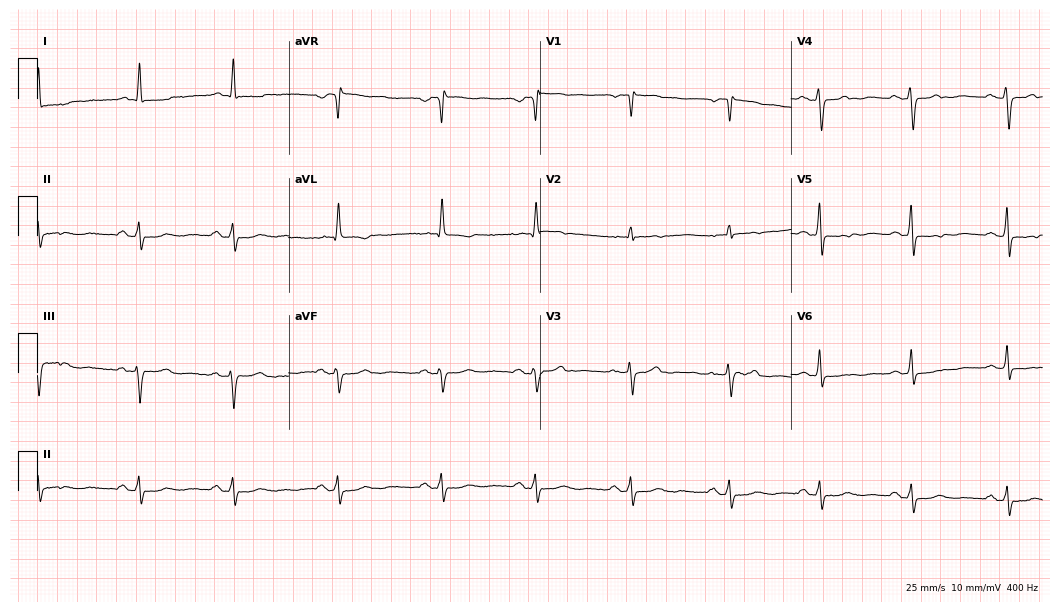
ECG — a 69-year-old woman. Screened for six findings — first-degree AV block, right bundle branch block, left bundle branch block, sinus bradycardia, atrial fibrillation, sinus tachycardia — none is recorded. Other findings, if any, are not listed.